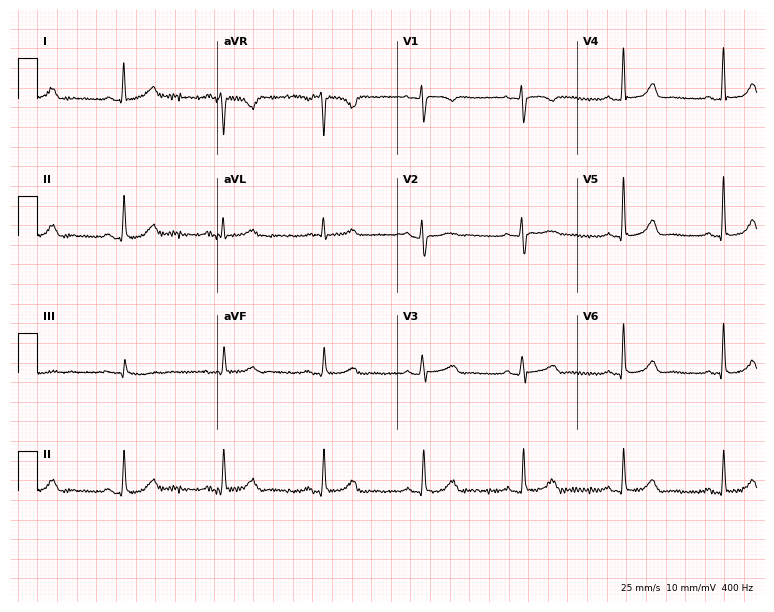
12-lead ECG from a 49-year-old woman (7.3-second recording at 400 Hz). Recorded interpretation: within normal limits.